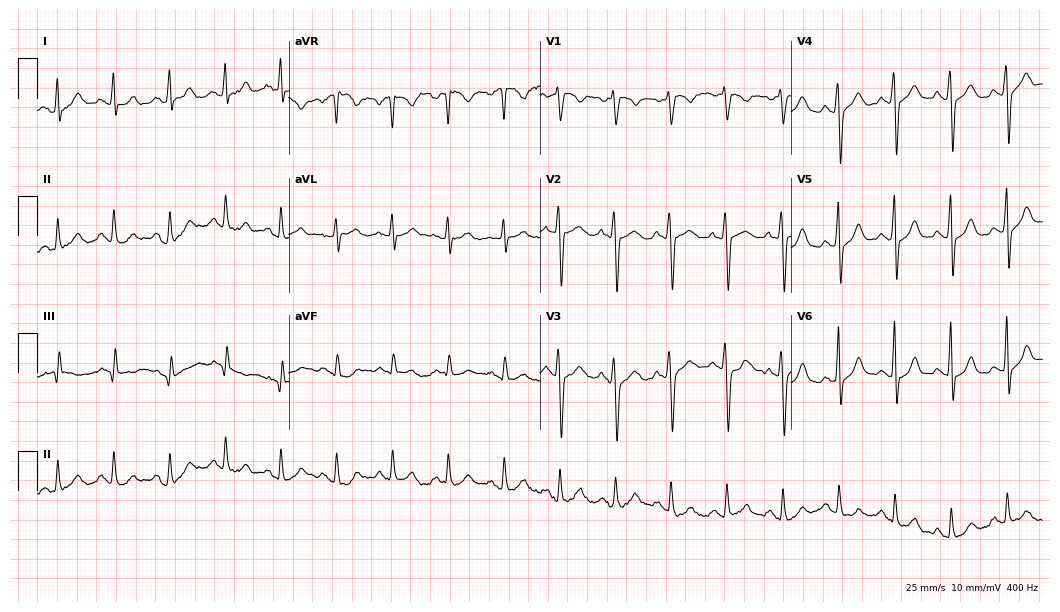
Electrocardiogram, a 44-year-old female patient. Overall reading on record: normal ECG.